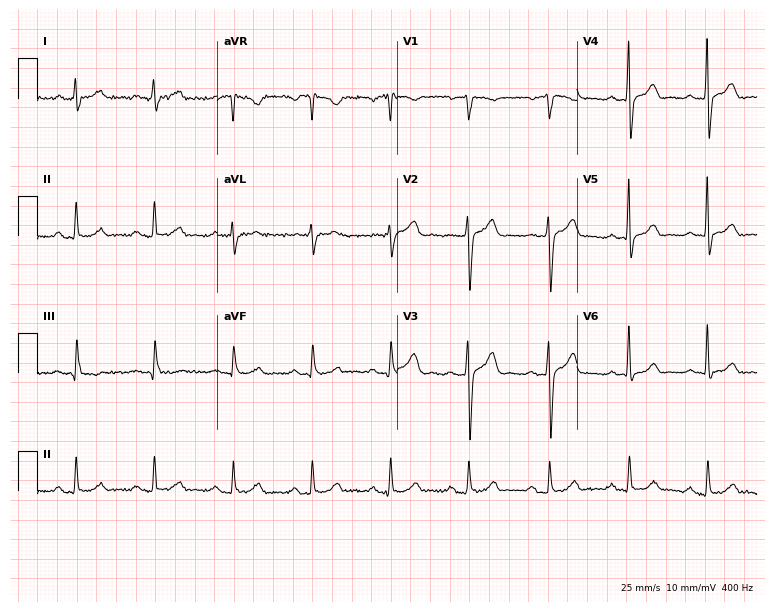
Standard 12-lead ECG recorded from a 49-year-old male patient (7.3-second recording at 400 Hz). Read as a normal ECG.